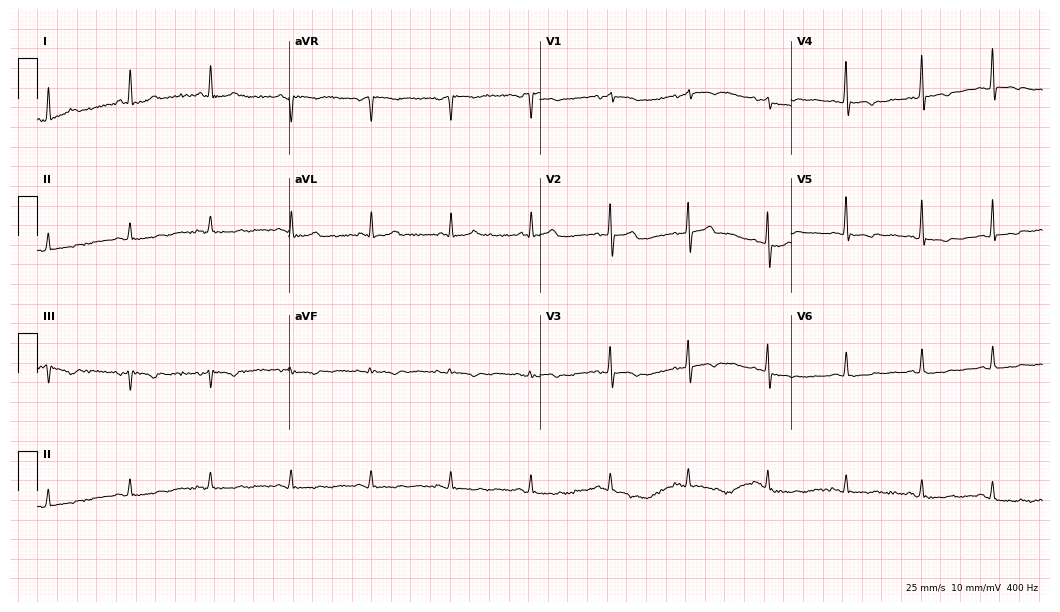
12-lead ECG from a female, 76 years old. Screened for six findings — first-degree AV block, right bundle branch block, left bundle branch block, sinus bradycardia, atrial fibrillation, sinus tachycardia — none is recorded. Only these six findings were labelled.